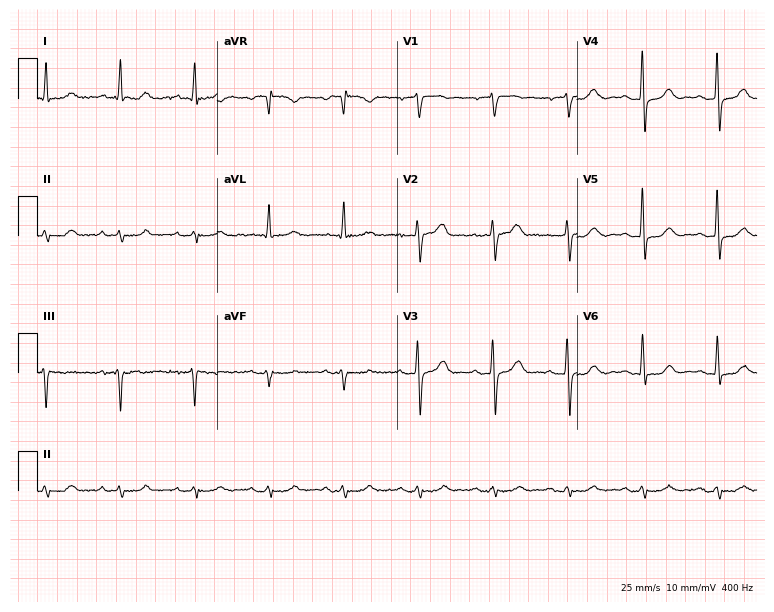
Standard 12-lead ECG recorded from a 70-year-old man (7.3-second recording at 400 Hz). Read as a normal ECG.